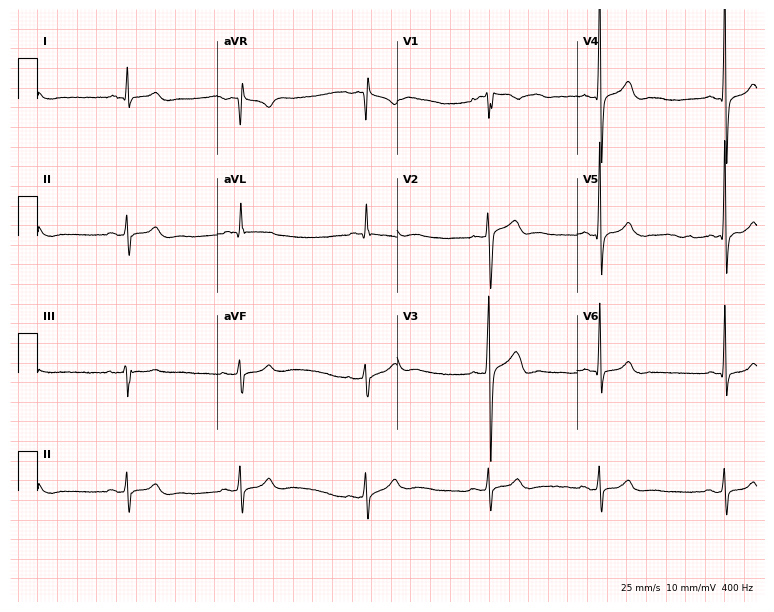
Resting 12-lead electrocardiogram (7.3-second recording at 400 Hz). Patient: a man, 20 years old. Read as a normal ECG.